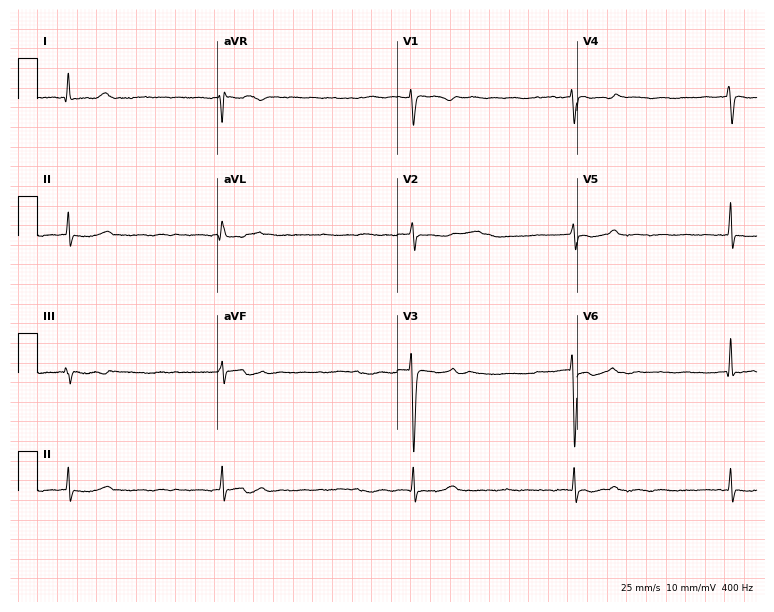
Electrocardiogram (7.3-second recording at 400 Hz), a woman, 48 years old. Of the six screened findings (first-degree AV block, right bundle branch block (RBBB), left bundle branch block (LBBB), sinus bradycardia, atrial fibrillation (AF), sinus tachycardia), none is recorded. Only these six findings were labelled.